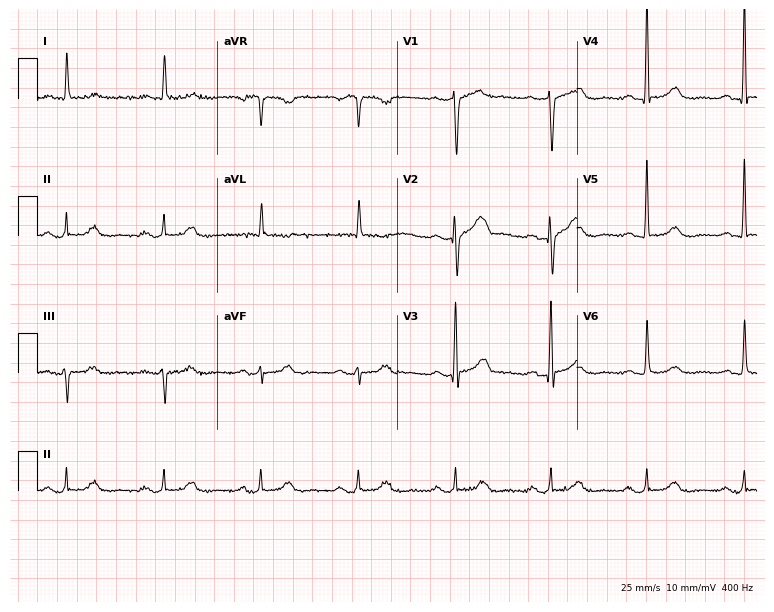
12-lead ECG from a woman, 73 years old. Labelled as a normal ECG.